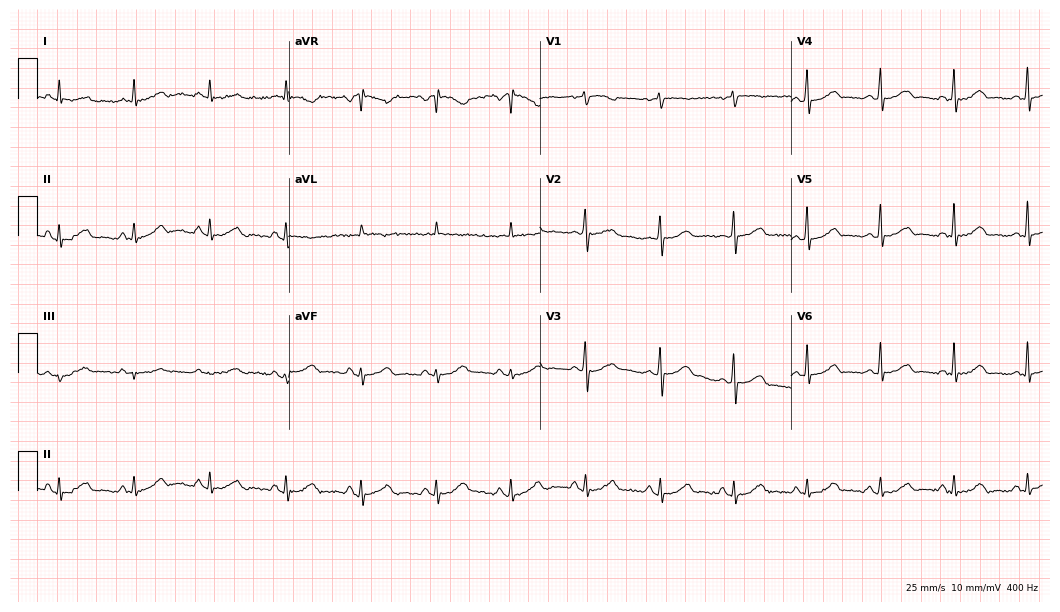
ECG (10.2-second recording at 400 Hz) — a 76-year-old woman. Labelled as a normal ECG.